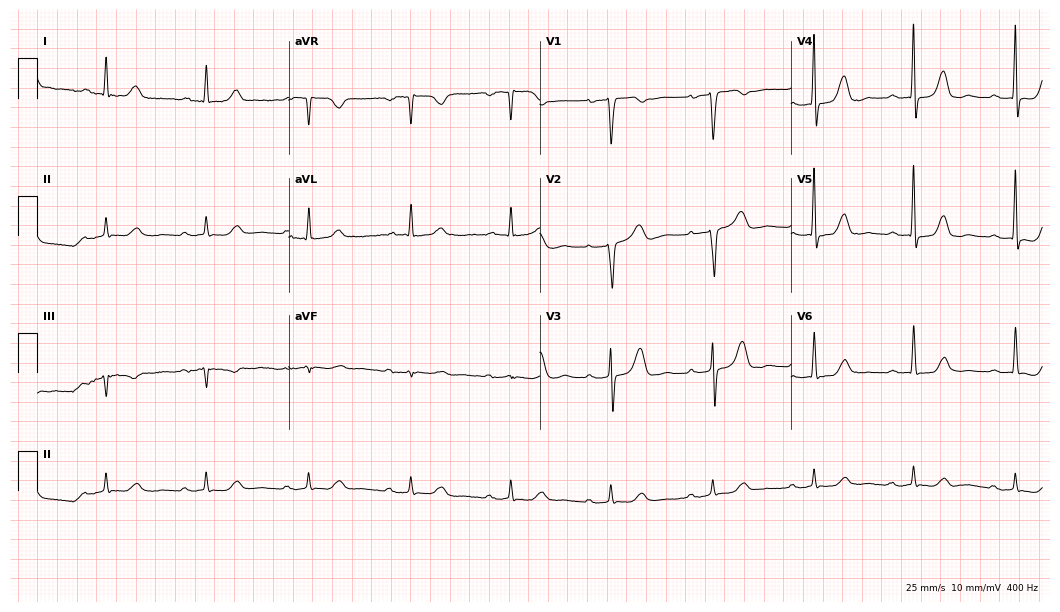
12-lead ECG (10.2-second recording at 400 Hz) from a 70-year-old woman. Labelled as a normal ECG.